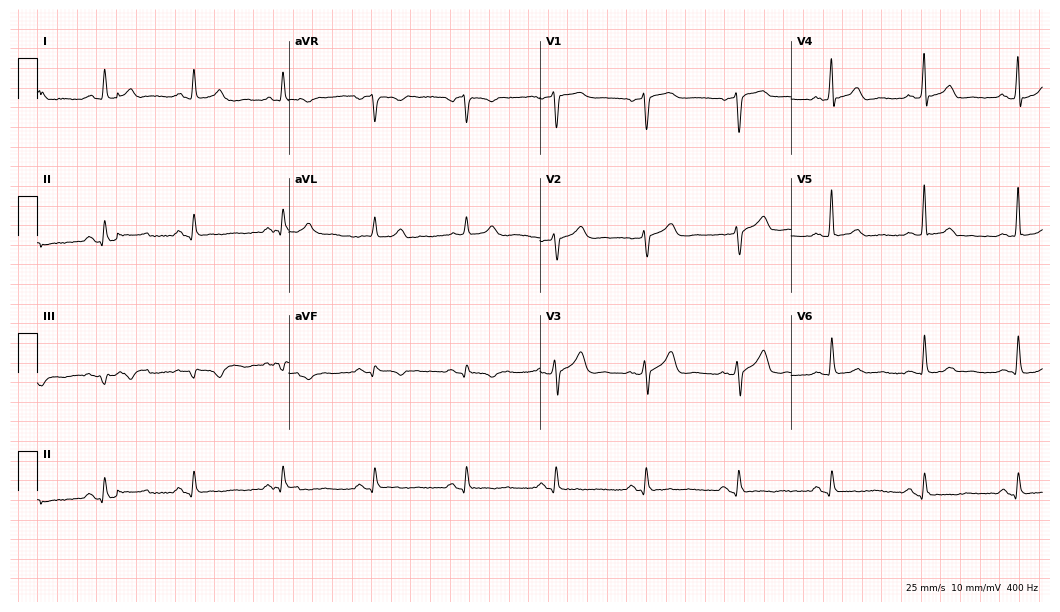
Standard 12-lead ECG recorded from a 56-year-old male (10.2-second recording at 400 Hz). None of these six findings is recorded: first-degree AV block, right bundle branch block, left bundle branch block, sinus bradycardia, atrial fibrillation, sinus tachycardia.